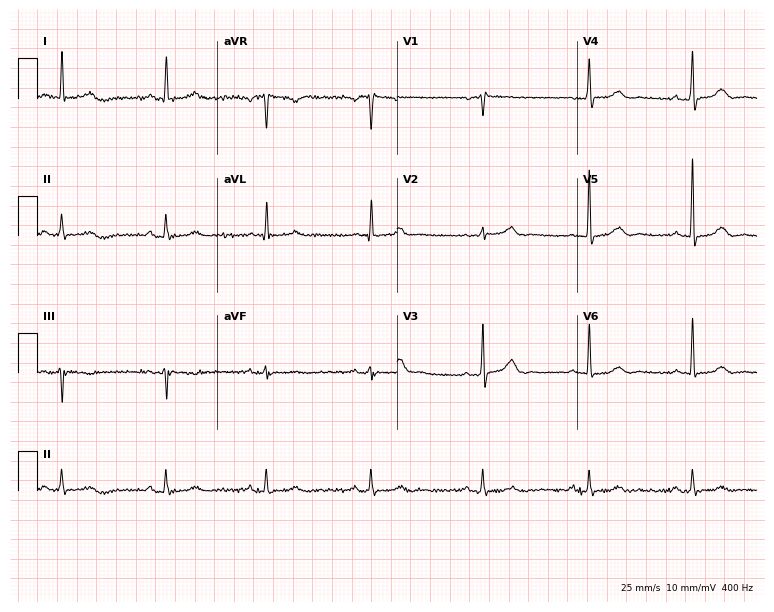
Resting 12-lead electrocardiogram (7.3-second recording at 400 Hz). Patient: a female, 64 years old. Read as a normal ECG.